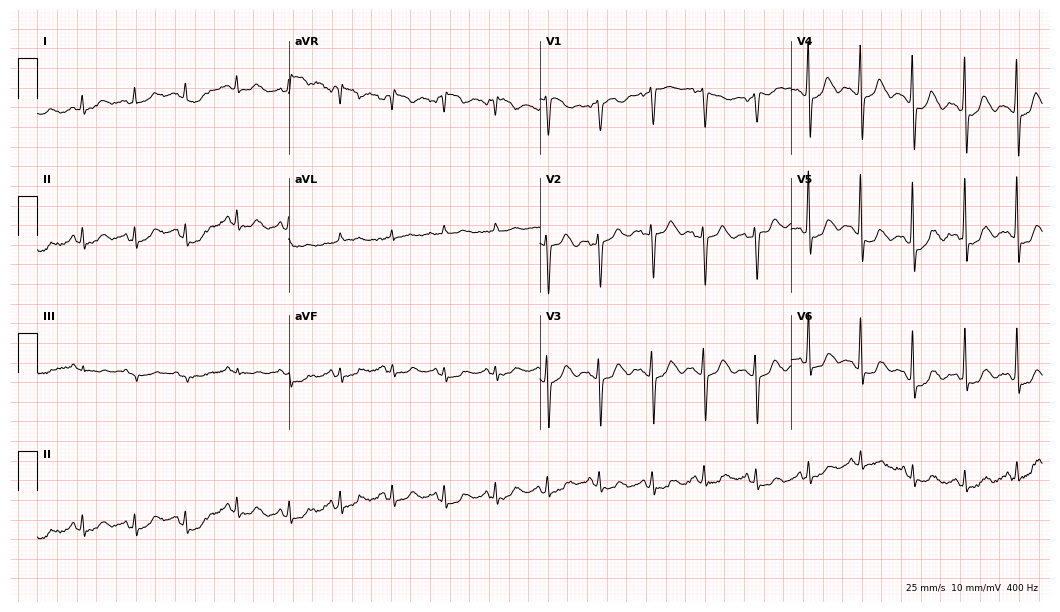
Resting 12-lead electrocardiogram. Patient: a male, 85 years old. The tracing shows sinus tachycardia (a sinus rate of 100 beats per minute or more).